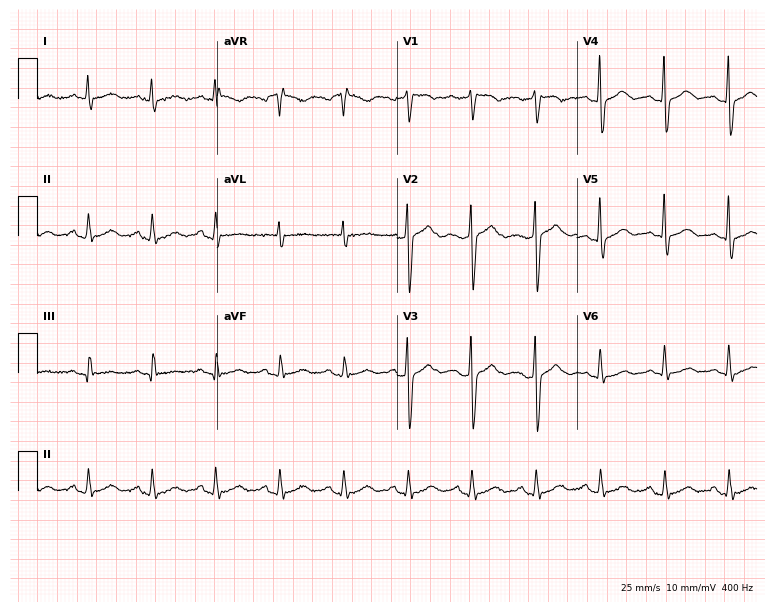
Resting 12-lead electrocardiogram. Patient: a female, 52 years old. None of these six findings is recorded: first-degree AV block, right bundle branch block, left bundle branch block, sinus bradycardia, atrial fibrillation, sinus tachycardia. Other findings, if any, are not listed.